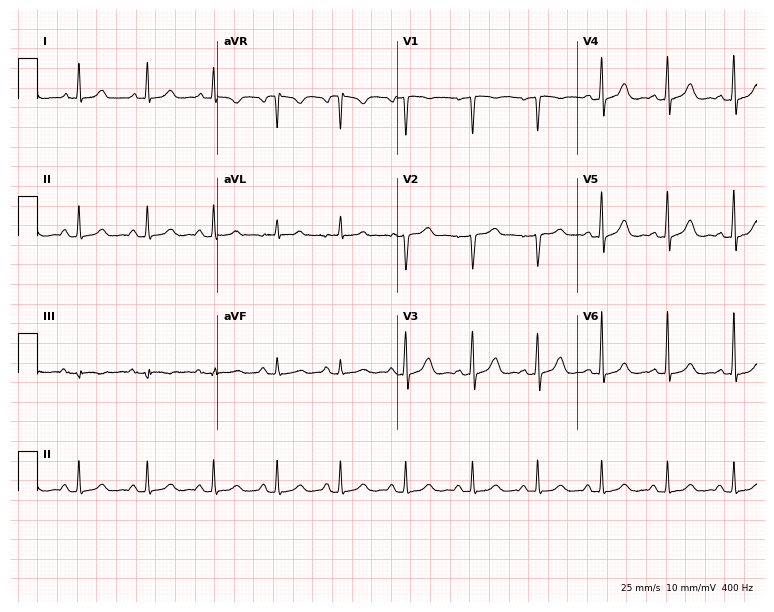
12-lead ECG from a woman, 47 years old. Labelled as a normal ECG.